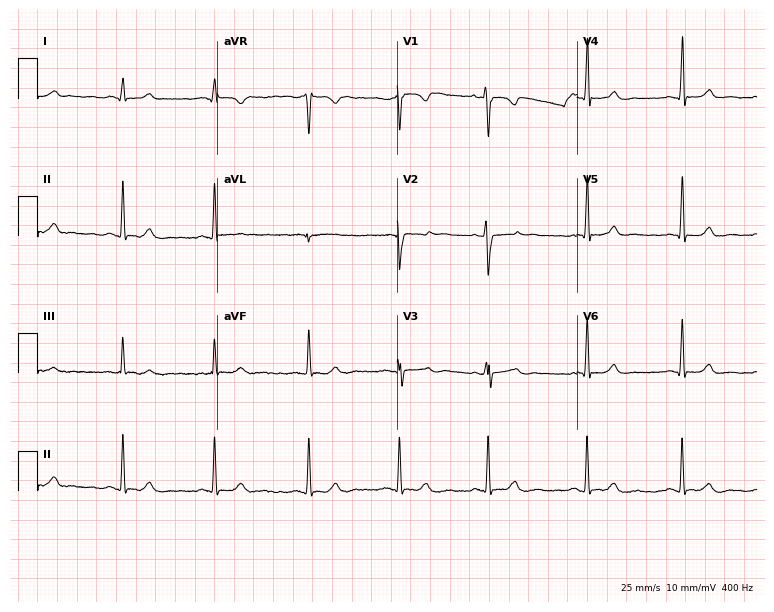
Standard 12-lead ECG recorded from a 27-year-old woman. None of these six findings is recorded: first-degree AV block, right bundle branch block, left bundle branch block, sinus bradycardia, atrial fibrillation, sinus tachycardia. Only these six findings were labelled.